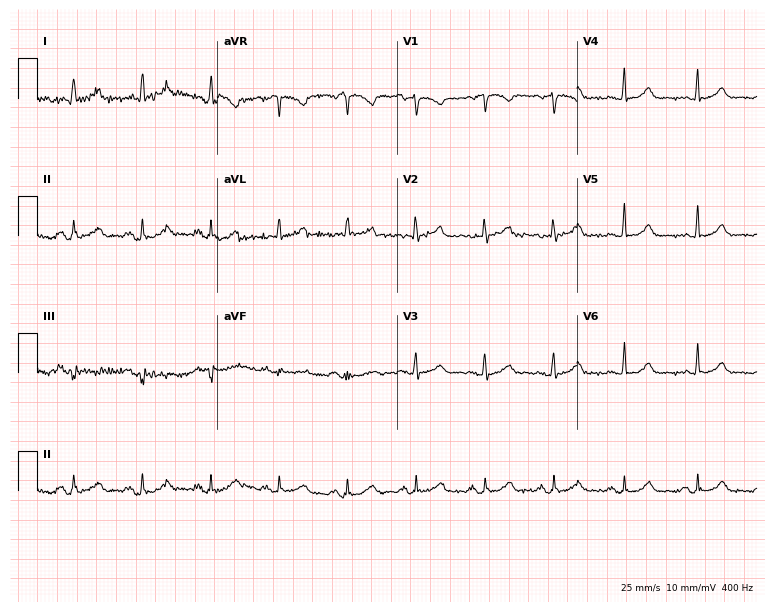
ECG (7.3-second recording at 400 Hz) — a female patient, 61 years old. Labelled as a normal ECG.